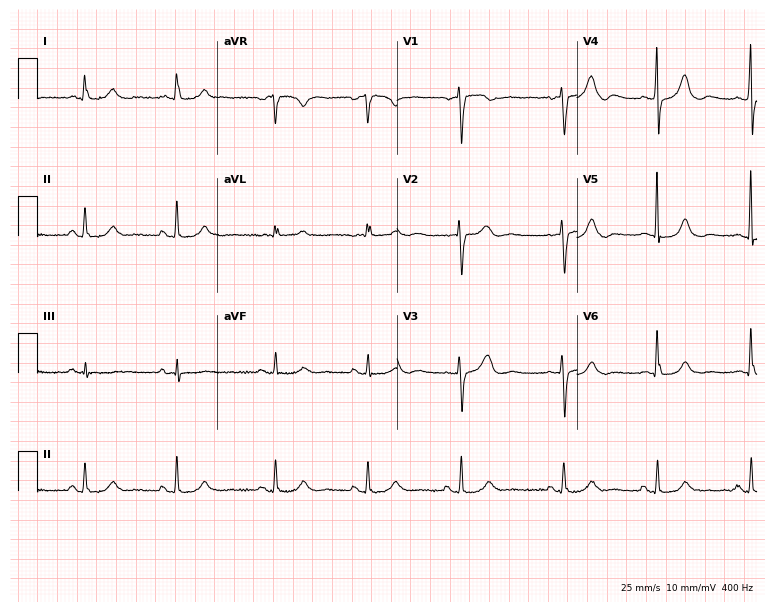
Electrocardiogram (7.3-second recording at 400 Hz), an 82-year-old female patient. Overall reading on record: normal ECG.